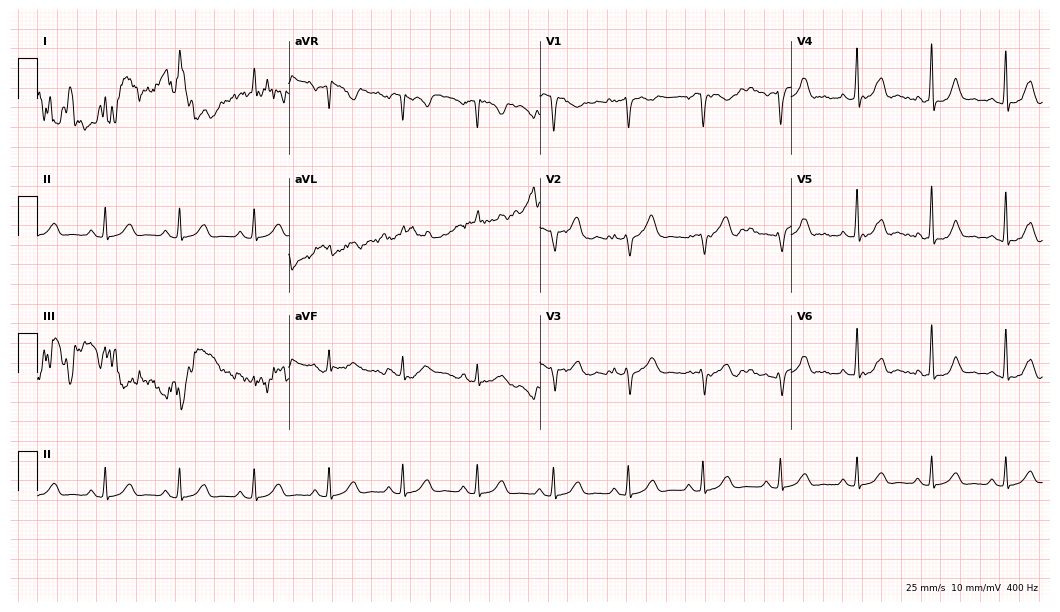
Resting 12-lead electrocardiogram. Patient: a woman, 47 years old. None of these six findings is recorded: first-degree AV block, right bundle branch block, left bundle branch block, sinus bradycardia, atrial fibrillation, sinus tachycardia.